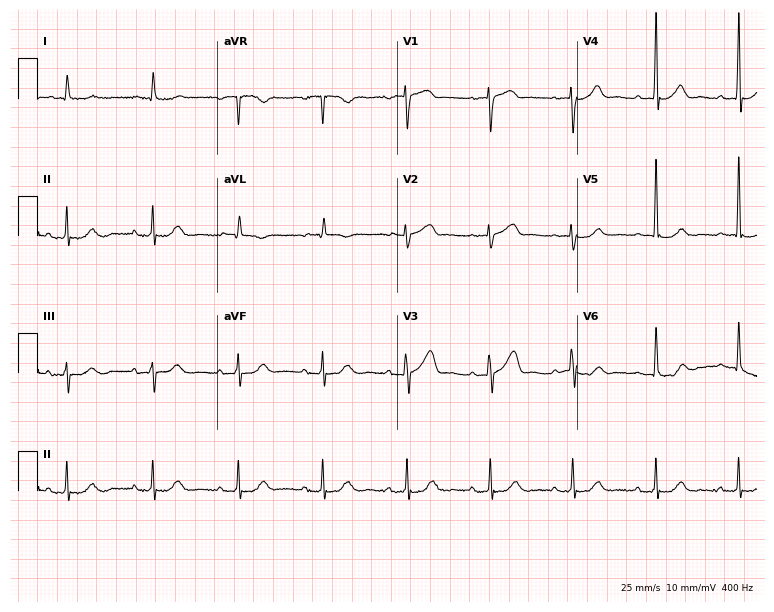
Resting 12-lead electrocardiogram. Patient: a 78-year-old female. Read as a normal ECG.